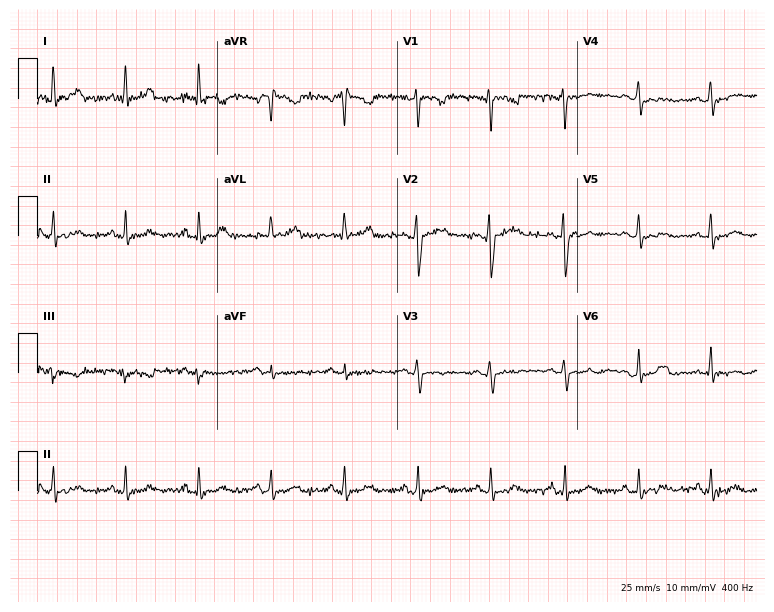
Standard 12-lead ECG recorded from a 33-year-old woman (7.3-second recording at 400 Hz). None of these six findings is recorded: first-degree AV block, right bundle branch block, left bundle branch block, sinus bradycardia, atrial fibrillation, sinus tachycardia. Other findings, if any, are not listed.